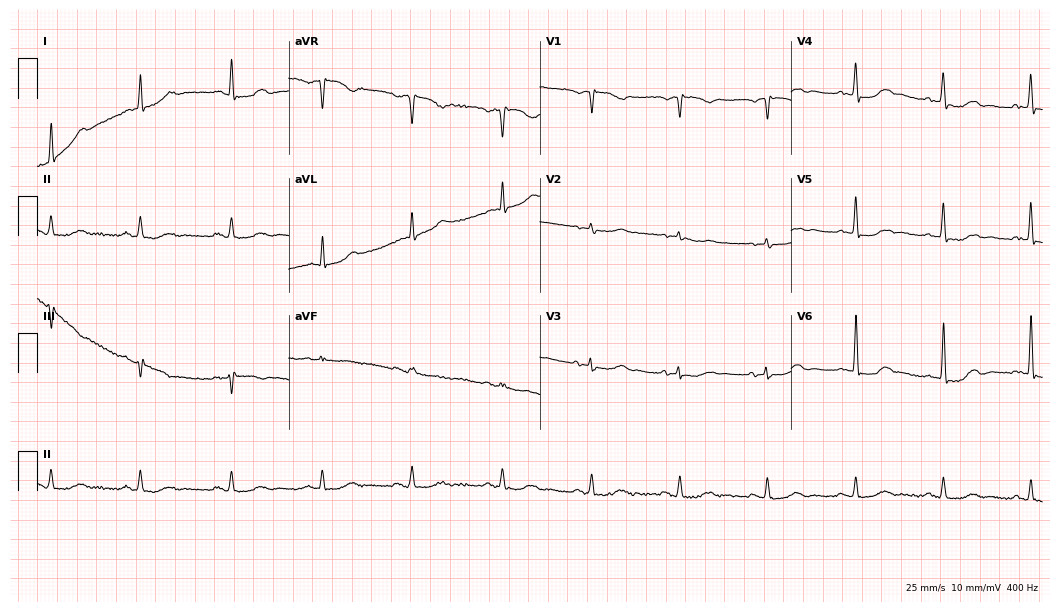
Electrocardiogram, a 78-year-old man. Overall reading on record: normal ECG.